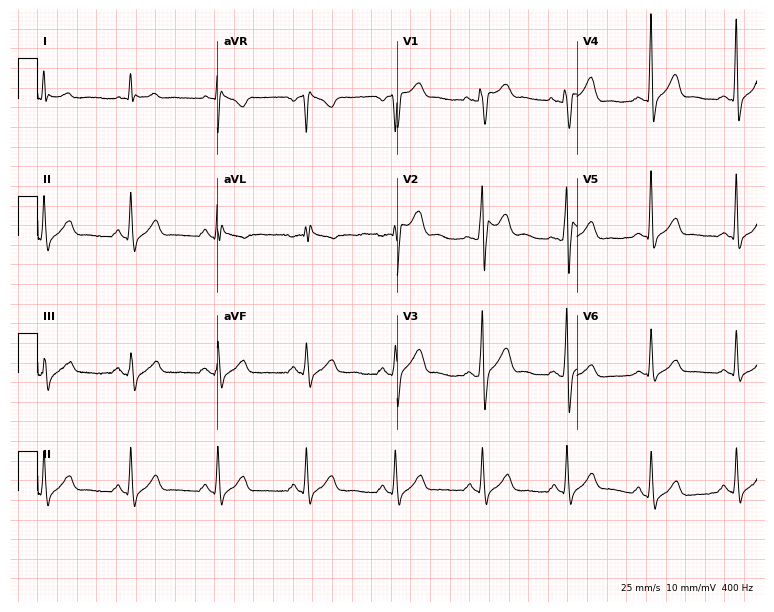
12-lead ECG from a 40-year-old male. No first-degree AV block, right bundle branch block (RBBB), left bundle branch block (LBBB), sinus bradycardia, atrial fibrillation (AF) or sinus tachycardia recorded for this tracing.